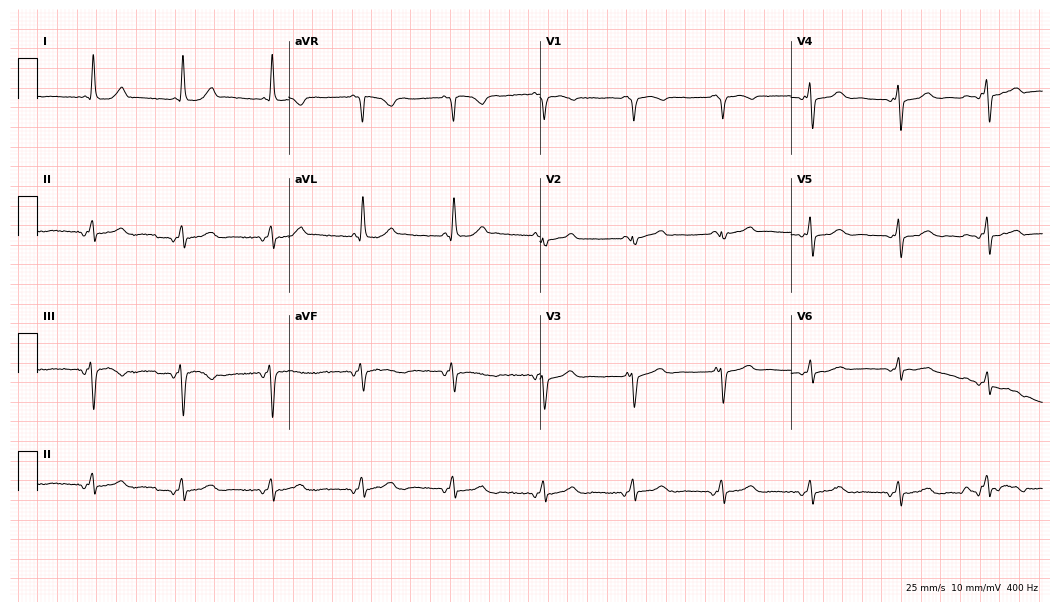
Standard 12-lead ECG recorded from a female, 63 years old (10.2-second recording at 400 Hz). None of these six findings is recorded: first-degree AV block, right bundle branch block, left bundle branch block, sinus bradycardia, atrial fibrillation, sinus tachycardia. Only these six findings were labelled.